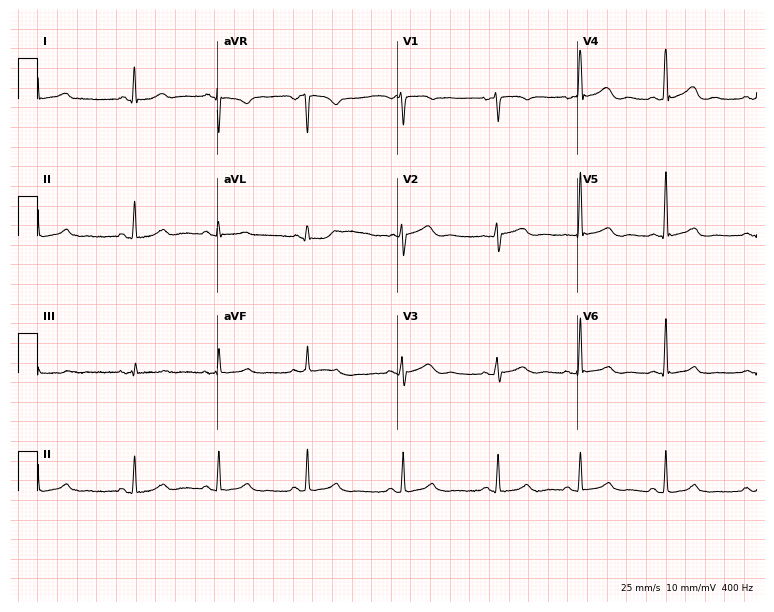
12-lead ECG (7.3-second recording at 400 Hz) from a female patient, 36 years old. Labelled as a normal ECG.